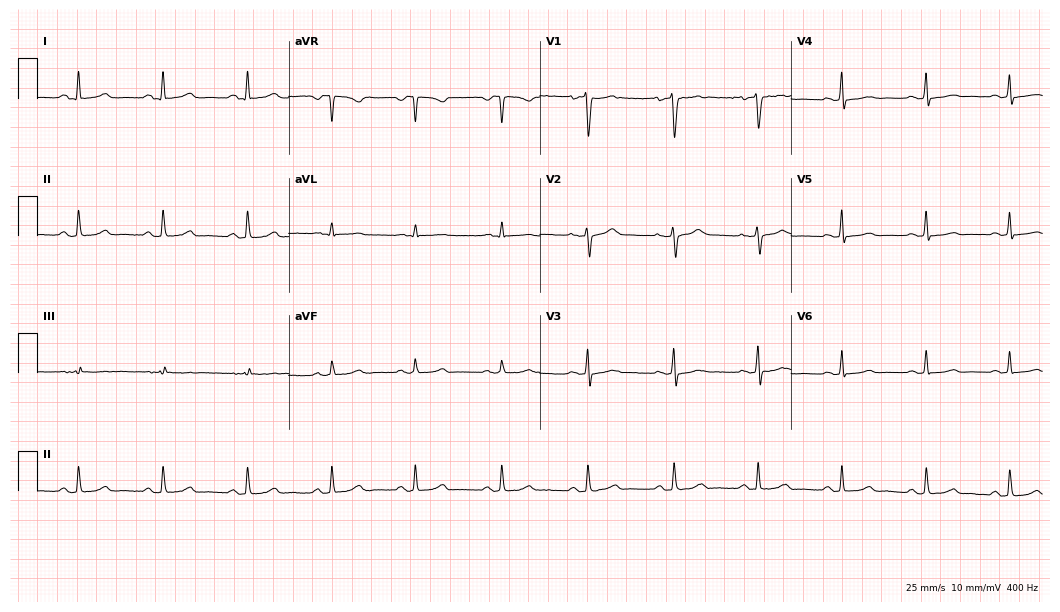
12-lead ECG from a 50-year-old female. Labelled as a normal ECG.